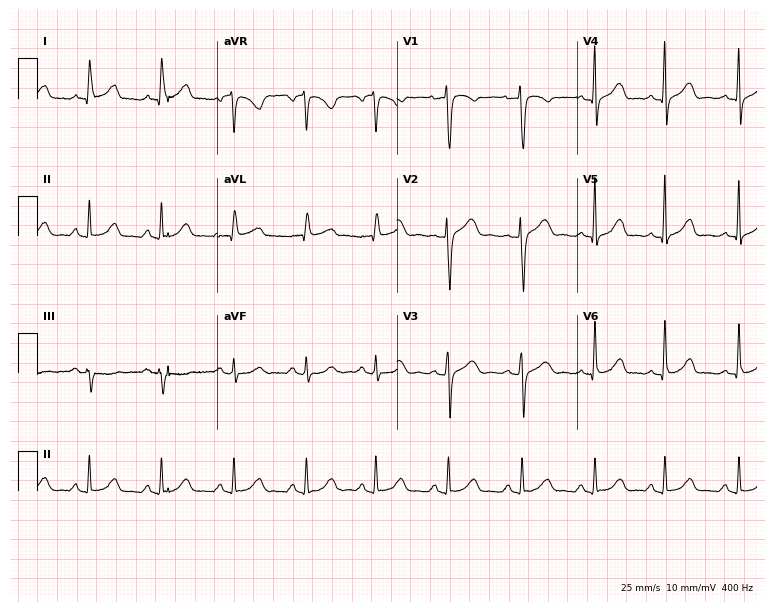
Standard 12-lead ECG recorded from a 51-year-old female patient. Read as a normal ECG.